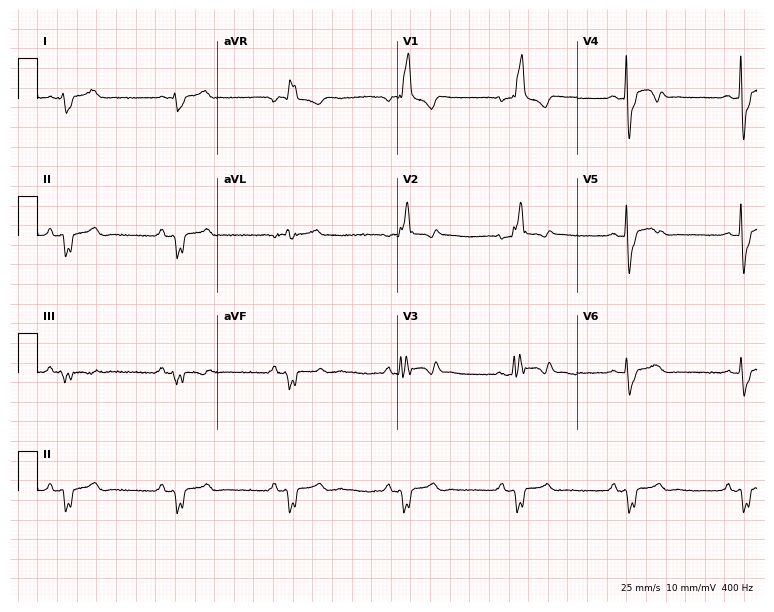
Standard 12-lead ECG recorded from a 57-year-old male (7.3-second recording at 400 Hz). None of these six findings is recorded: first-degree AV block, right bundle branch block (RBBB), left bundle branch block (LBBB), sinus bradycardia, atrial fibrillation (AF), sinus tachycardia. Other findings, if any, are not listed.